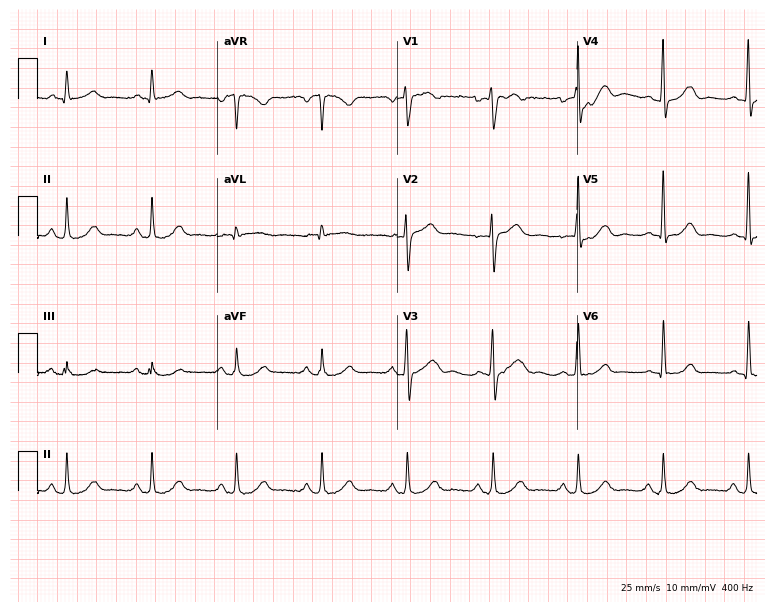
Electrocardiogram, a 56-year-old male patient. Overall reading on record: normal ECG.